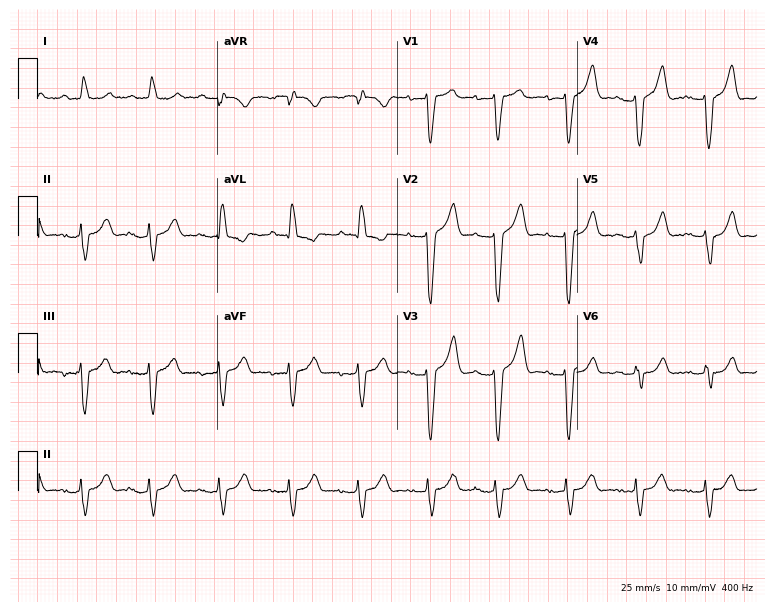
Standard 12-lead ECG recorded from an 82-year-old woman (7.3-second recording at 400 Hz). None of these six findings is recorded: first-degree AV block, right bundle branch block, left bundle branch block, sinus bradycardia, atrial fibrillation, sinus tachycardia. Other findings, if any, are not listed.